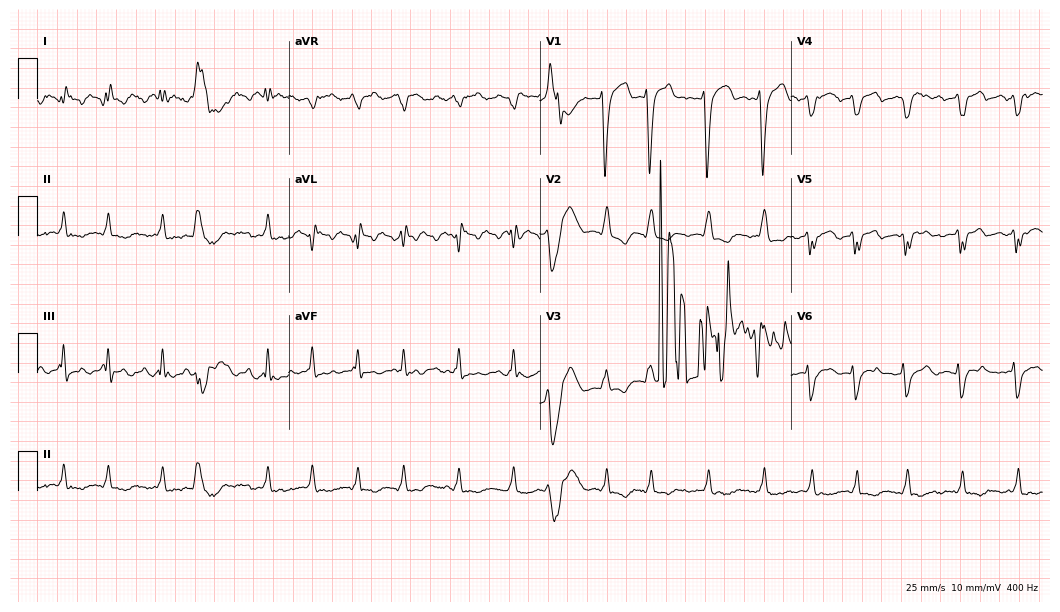
12-lead ECG from a 65-year-old man. No first-degree AV block, right bundle branch block, left bundle branch block, sinus bradycardia, atrial fibrillation or sinus tachycardia recorded for this tracing. Other findings, if any, are not listed.